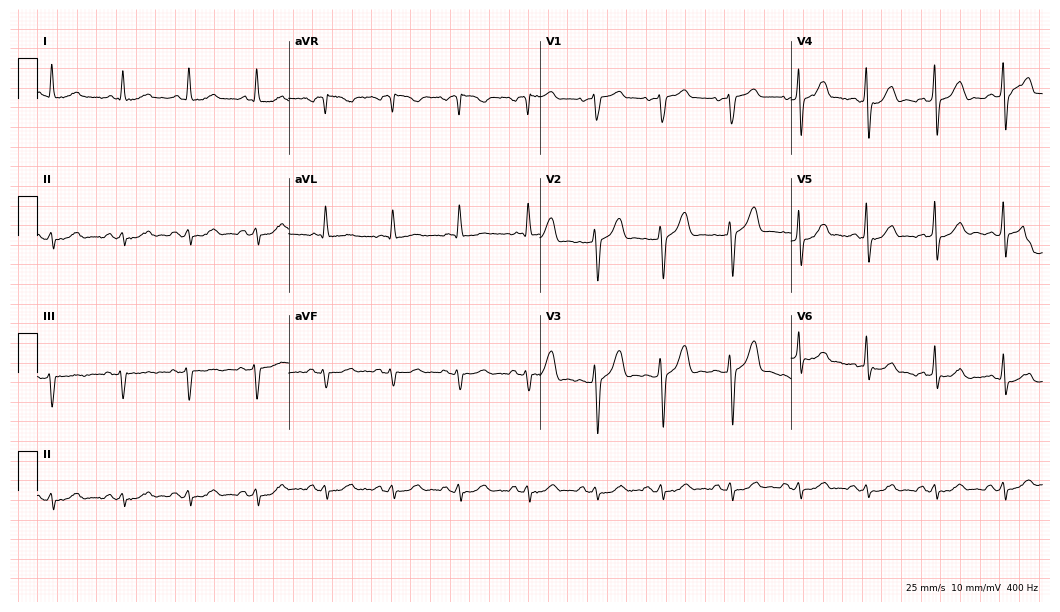
Standard 12-lead ECG recorded from an 83-year-old man (10.2-second recording at 400 Hz). None of these six findings is recorded: first-degree AV block, right bundle branch block, left bundle branch block, sinus bradycardia, atrial fibrillation, sinus tachycardia.